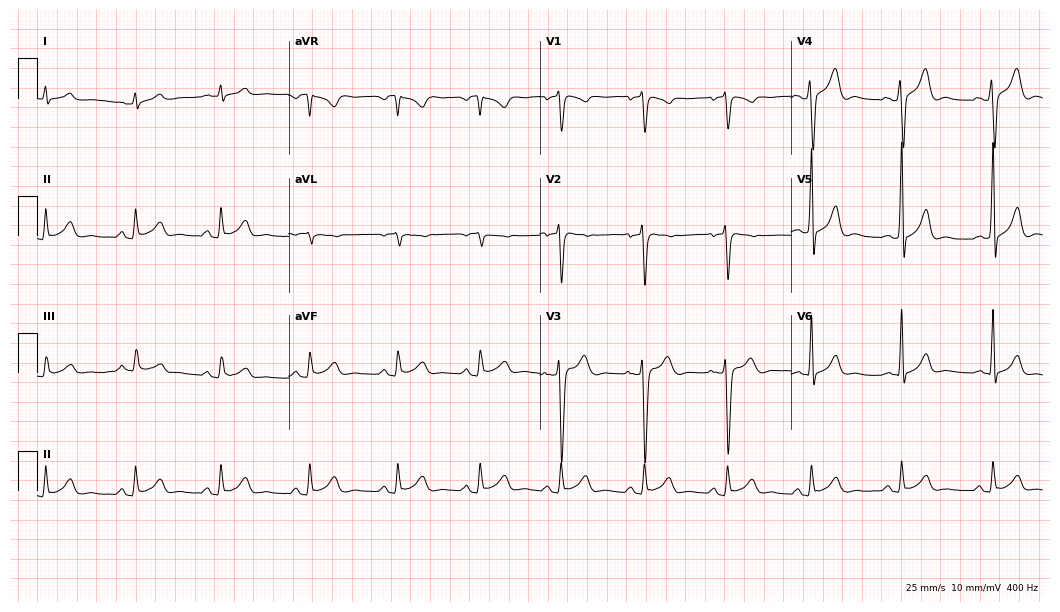
Resting 12-lead electrocardiogram. Patient: a 22-year-old man. Read as a normal ECG.